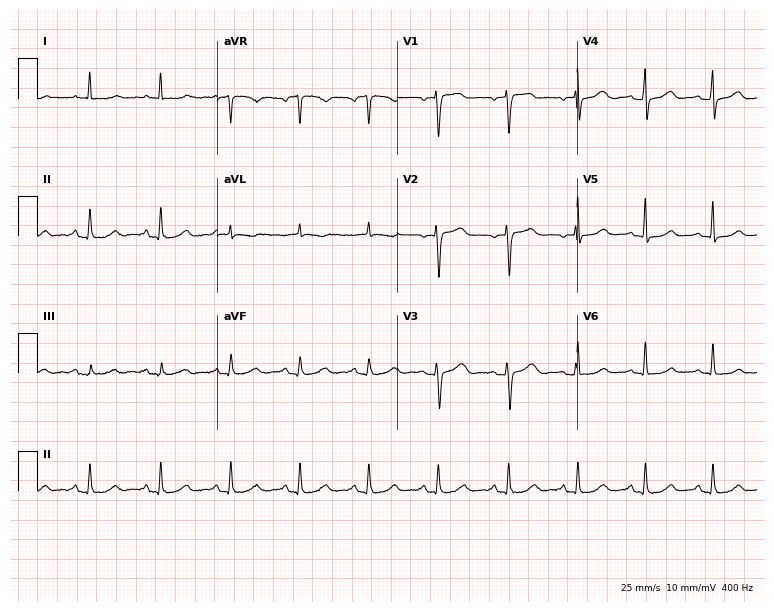
Electrocardiogram (7.3-second recording at 400 Hz), a female patient, 67 years old. Of the six screened findings (first-degree AV block, right bundle branch block (RBBB), left bundle branch block (LBBB), sinus bradycardia, atrial fibrillation (AF), sinus tachycardia), none is recorded. Other findings, if any, are not listed.